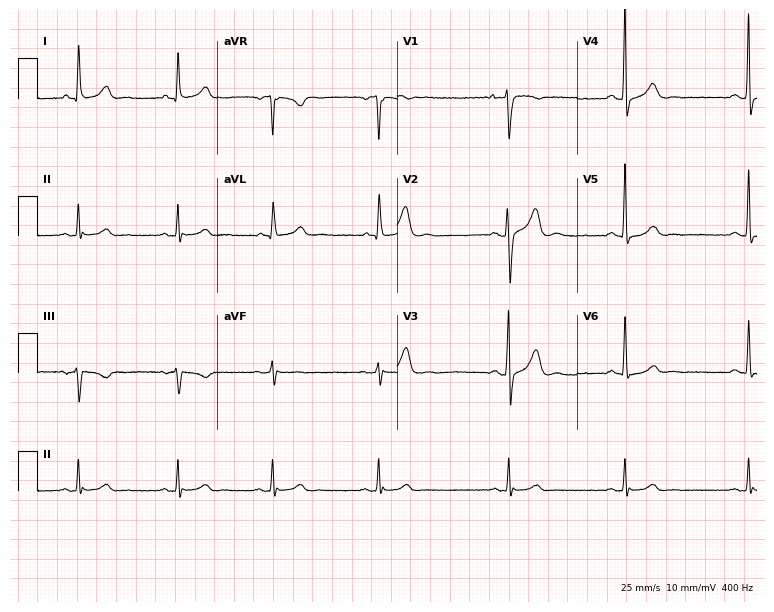
Resting 12-lead electrocardiogram (7.3-second recording at 400 Hz). Patient: a 38-year-old female. Read as a normal ECG.